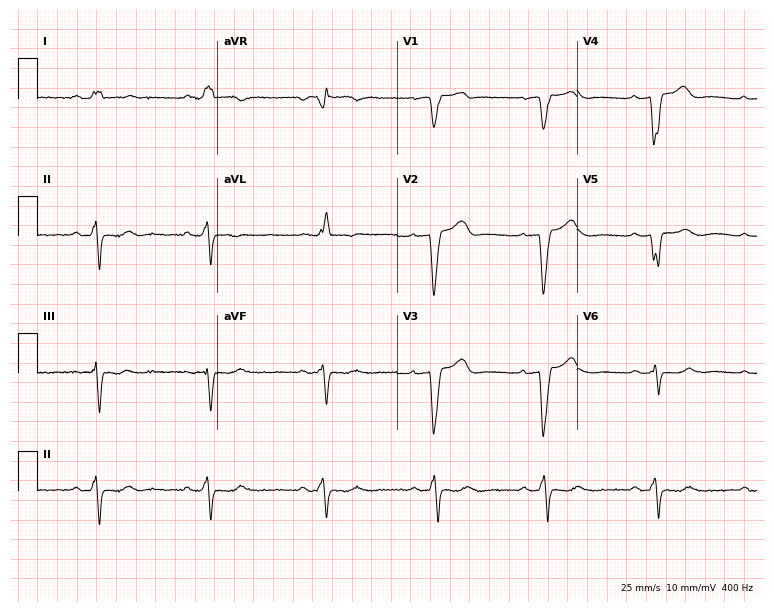
12-lead ECG from a woman, 76 years old. Findings include left bundle branch block (LBBB).